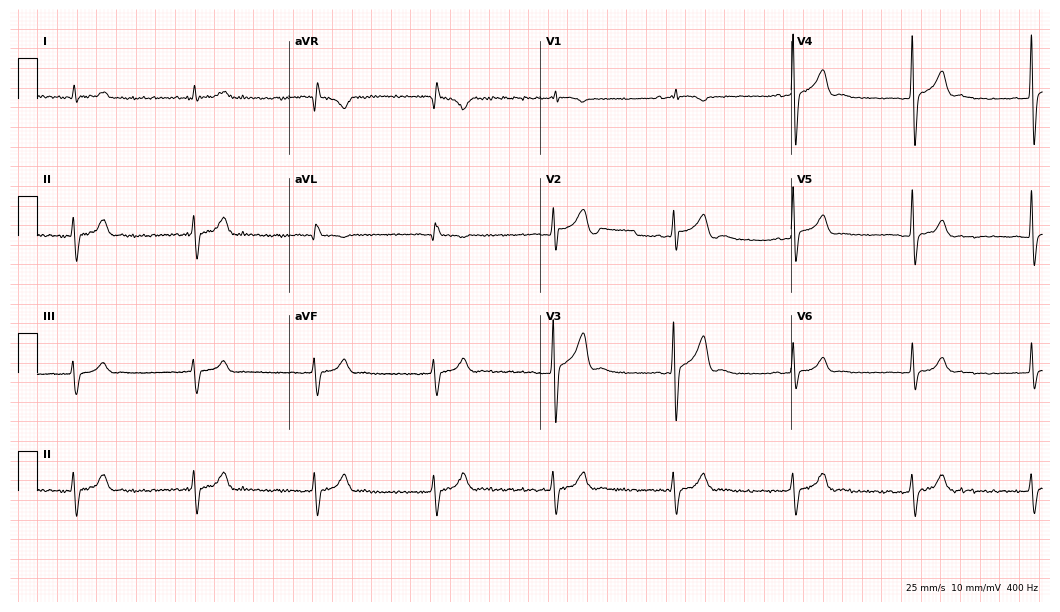
12-lead ECG (10.2-second recording at 400 Hz) from a 76-year-old male patient. Screened for six findings — first-degree AV block, right bundle branch block, left bundle branch block, sinus bradycardia, atrial fibrillation, sinus tachycardia — none is recorded. Other findings, if any, are not listed.